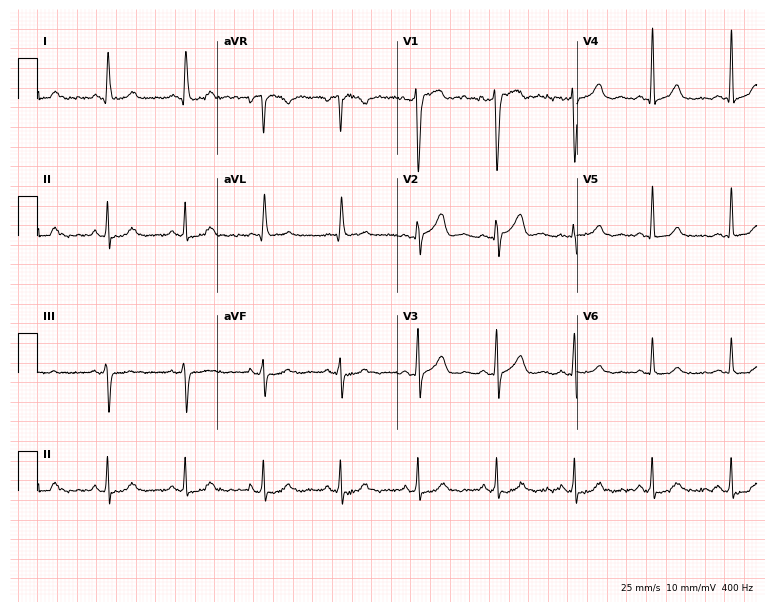
Resting 12-lead electrocardiogram (7.3-second recording at 400 Hz). Patient: a 55-year-old woman. Read as a normal ECG.